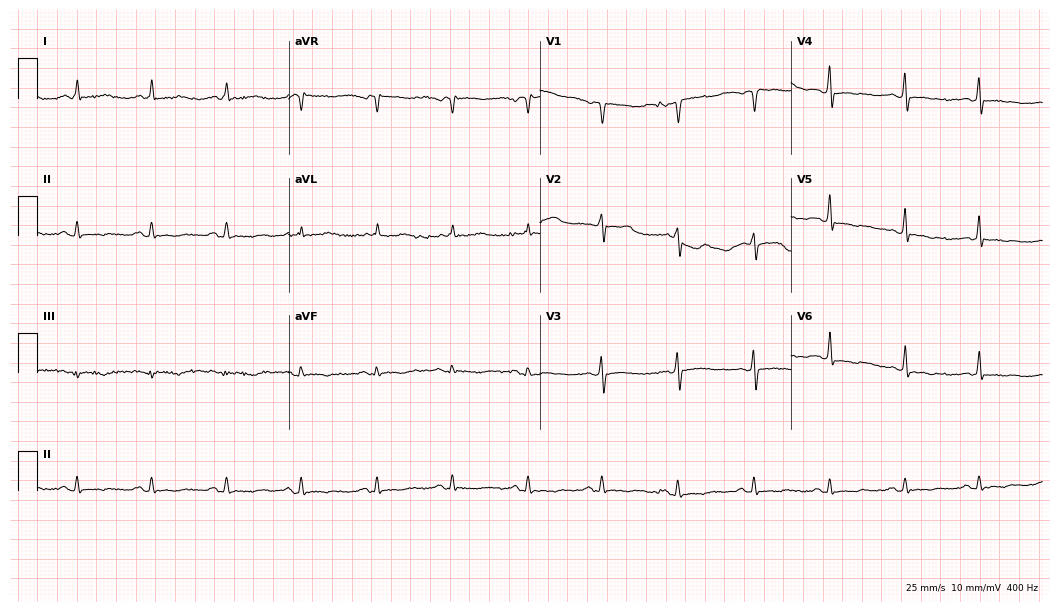
Standard 12-lead ECG recorded from a female patient, 52 years old. None of these six findings is recorded: first-degree AV block, right bundle branch block, left bundle branch block, sinus bradycardia, atrial fibrillation, sinus tachycardia. Only these six findings were labelled.